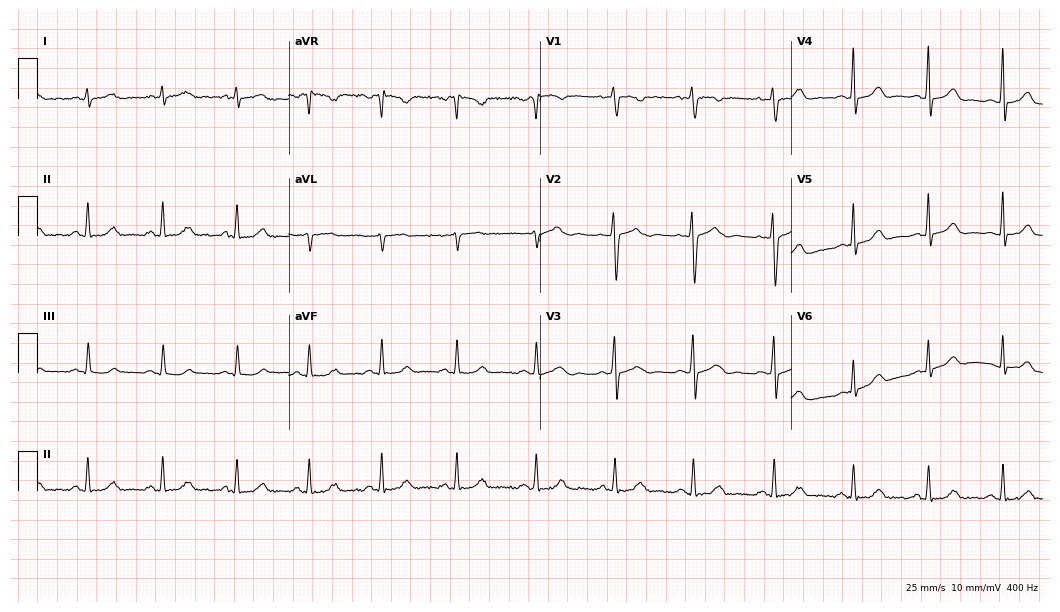
12-lead ECG (10.2-second recording at 400 Hz) from a 28-year-old woman. Labelled as a normal ECG.